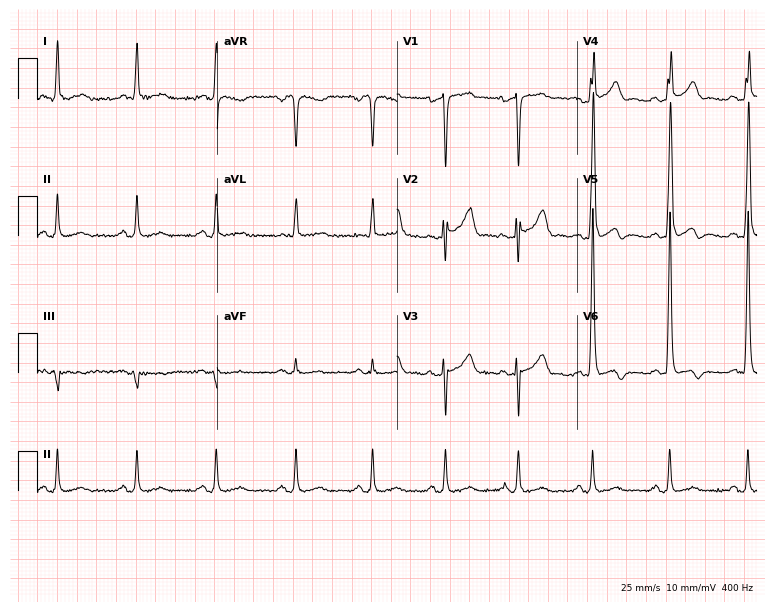
ECG (7.3-second recording at 400 Hz) — a male, 55 years old. Screened for six findings — first-degree AV block, right bundle branch block (RBBB), left bundle branch block (LBBB), sinus bradycardia, atrial fibrillation (AF), sinus tachycardia — none is recorded. Findings outside these six are not listed.